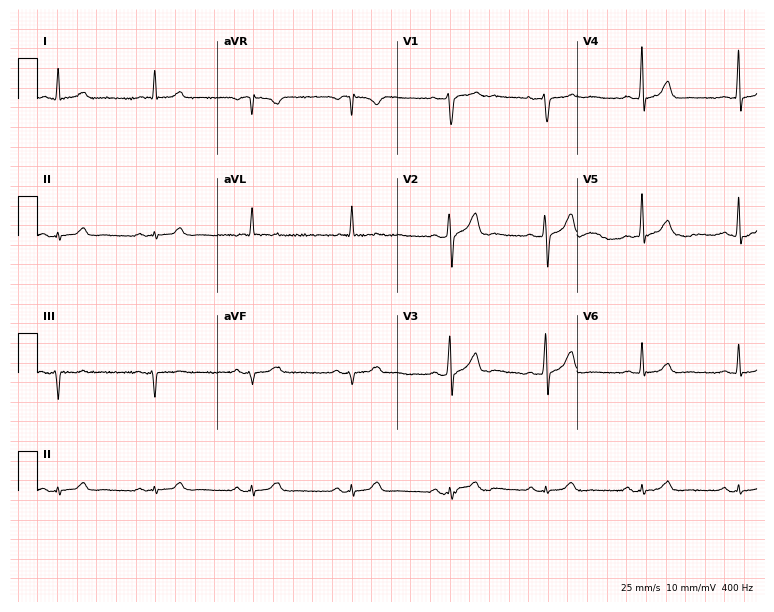
Electrocardiogram, a male, 56 years old. Of the six screened findings (first-degree AV block, right bundle branch block, left bundle branch block, sinus bradycardia, atrial fibrillation, sinus tachycardia), none is recorded.